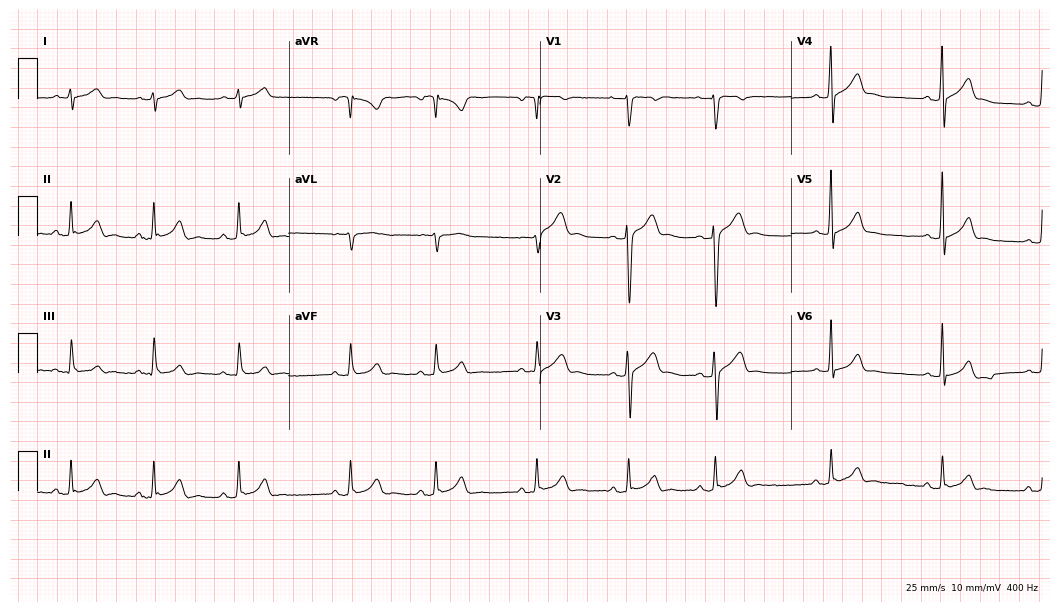
Standard 12-lead ECG recorded from a male patient, 21 years old (10.2-second recording at 400 Hz). Read as a normal ECG.